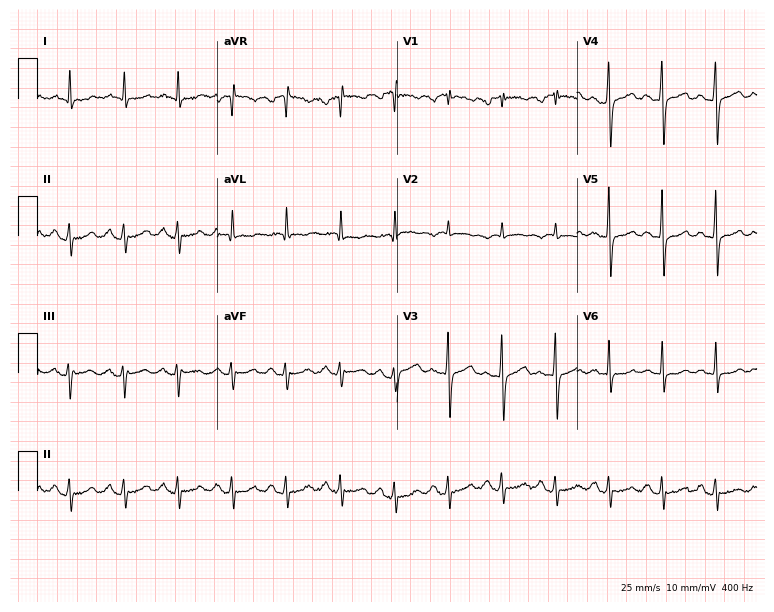
12-lead ECG (7.3-second recording at 400 Hz) from a man, 59 years old. Findings include sinus tachycardia (a sinus rate of 100 beats per minute or more).